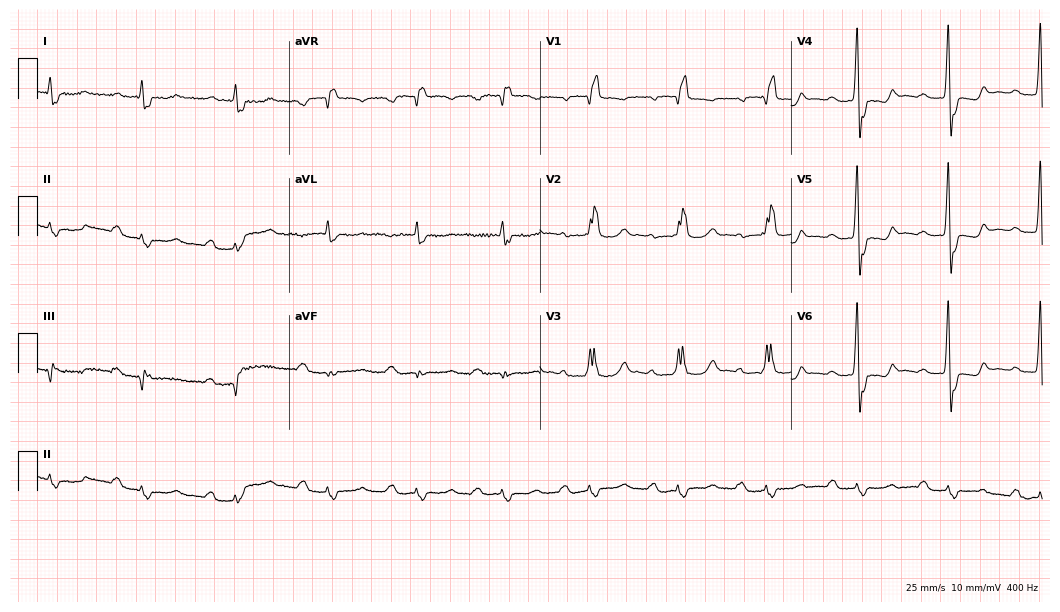
Electrocardiogram (10.2-second recording at 400 Hz), an 85-year-old male. Of the six screened findings (first-degree AV block, right bundle branch block, left bundle branch block, sinus bradycardia, atrial fibrillation, sinus tachycardia), none is recorded. Other findings, if any, are not listed.